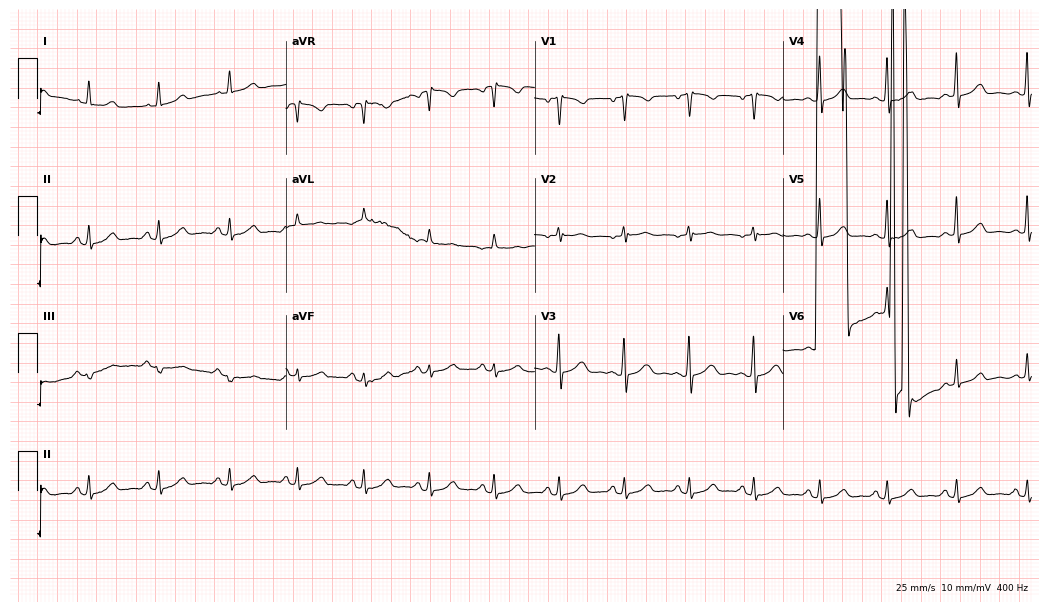
12-lead ECG from a female, 39 years old. Recorded interpretation: within normal limits.